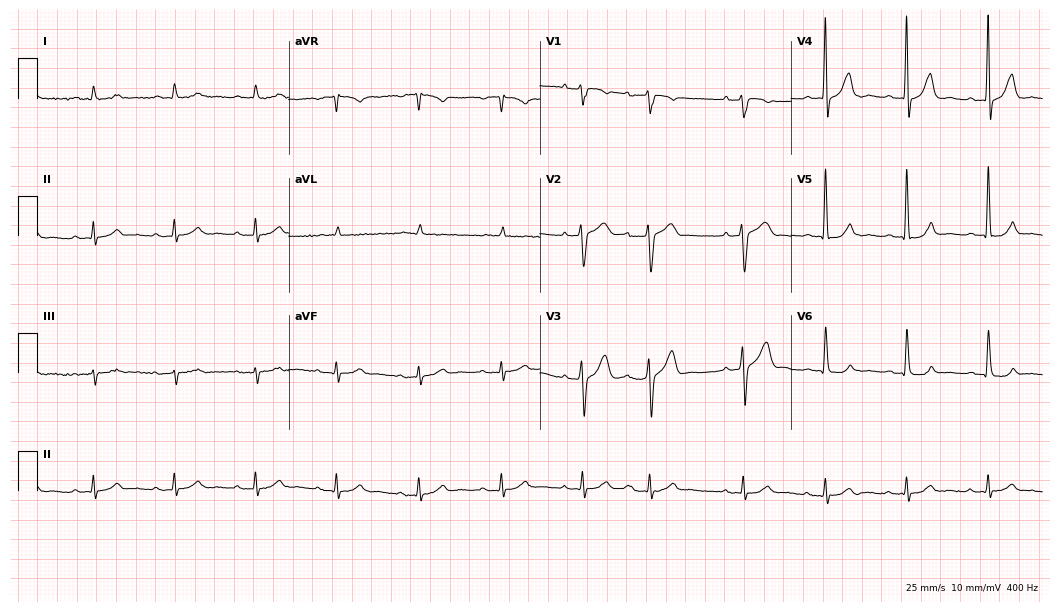
Standard 12-lead ECG recorded from an 81-year-old male patient (10.2-second recording at 400 Hz). None of these six findings is recorded: first-degree AV block, right bundle branch block, left bundle branch block, sinus bradycardia, atrial fibrillation, sinus tachycardia.